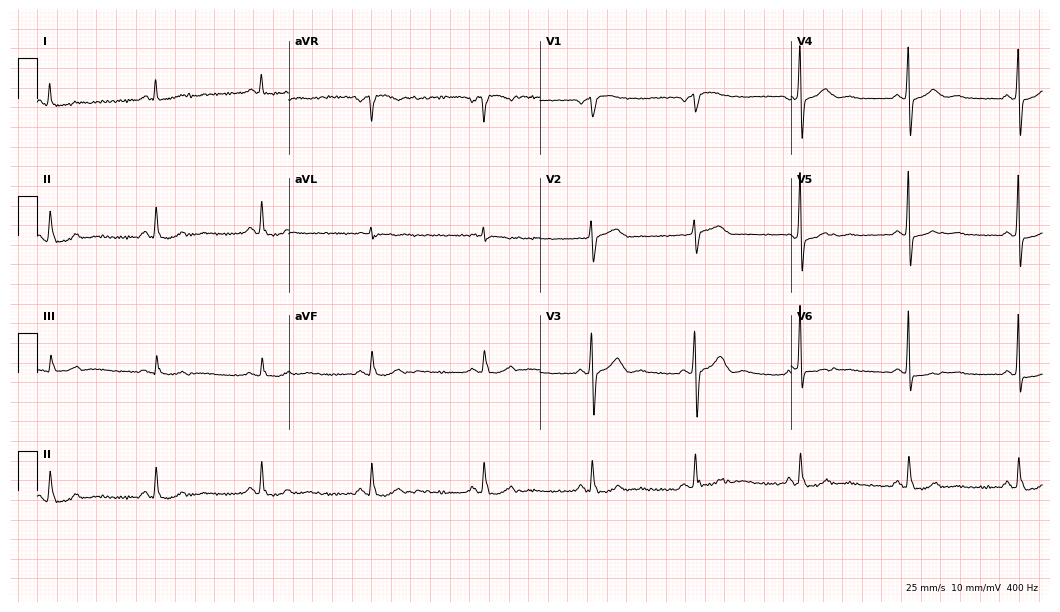
ECG (10.2-second recording at 400 Hz) — a 56-year-old male. Screened for six findings — first-degree AV block, right bundle branch block, left bundle branch block, sinus bradycardia, atrial fibrillation, sinus tachycardia — none is recorded. Findings outside these six are not listed.